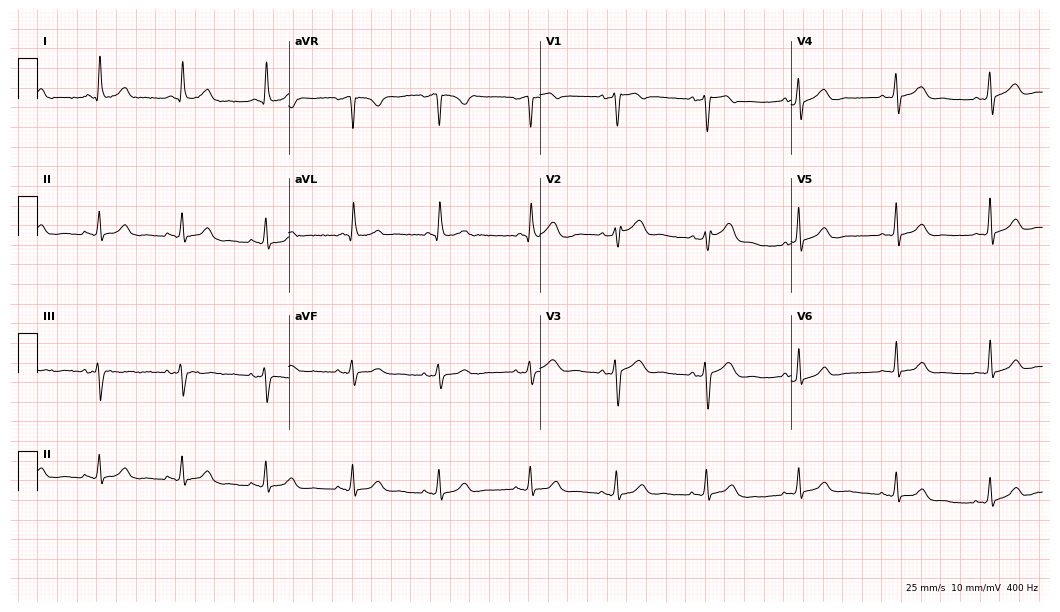
ECG (10.2-second recording at 400 Hz) — a woman, 52 years old. Labelled as a normal ECG.